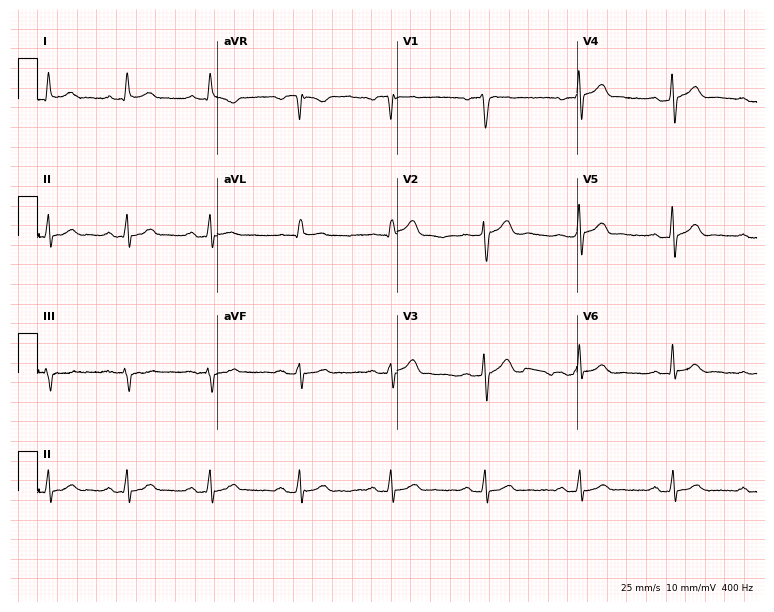
12-lead ECG (7.3-second recording at 400 Hz) from a male patient, 50 years old. Labelled as a normal ECG.